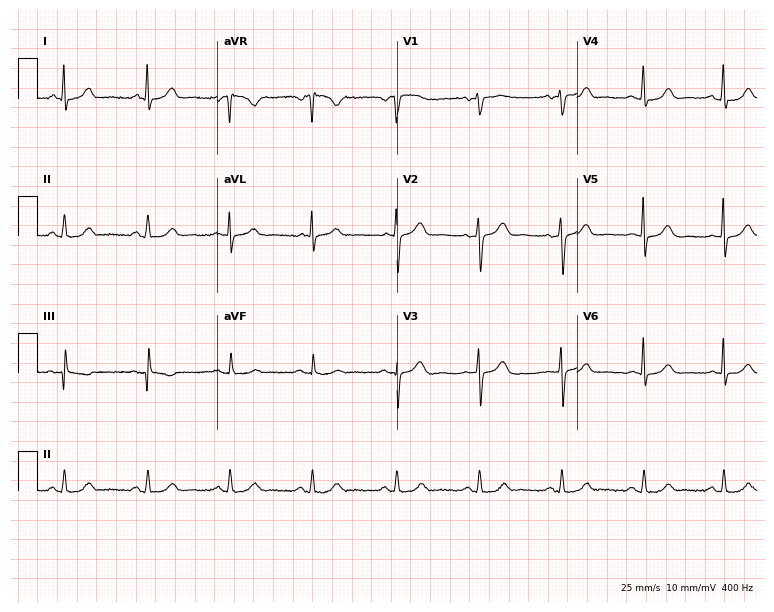
Standard 12-lead ECG recorded from a 54-year-old female patient (7.3-second recording at 400 Hz). Read as a normal ECG.